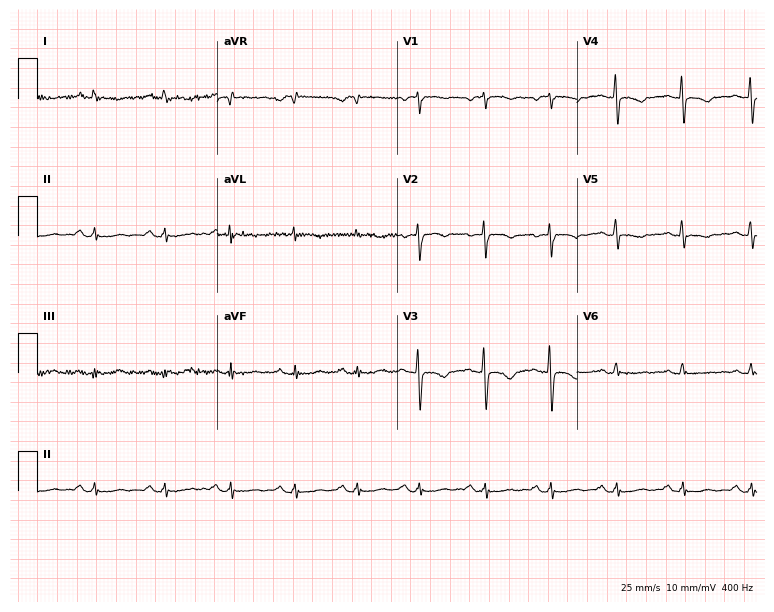
ECG (7.3-second recording at 400 Hz) — a woman, 62 years old. Screened for six findings — first-degree AV block, right bundle branch block (RBBB), left bundle branch block (LBBB), sinus bradycardia, atrial fibrillation (AF), sinus tachycardia — none is recorded.